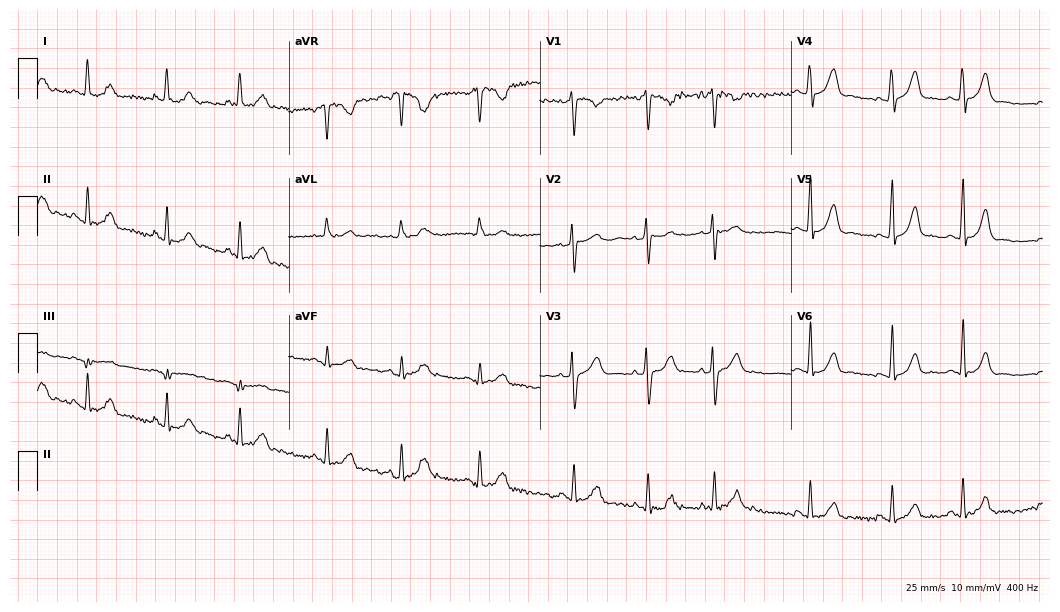
Electrocardiogram, a female patient, 27 years old. Overall reading on record: normal ECG.